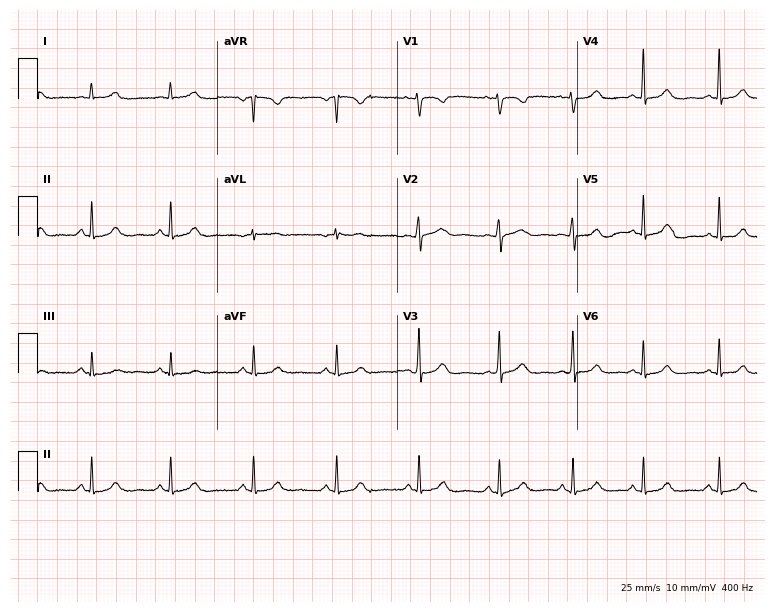
Electrocardiogram, a woman, 42 years old. Of the six screened findings (first-degree AV block, right bundle branch block (RBBB), left bundle branch block (LBBB), sinus bradycardia, atrial fibrillation (AF), sinus tachycardia), none is recorded. Findings outside these six are not listed.